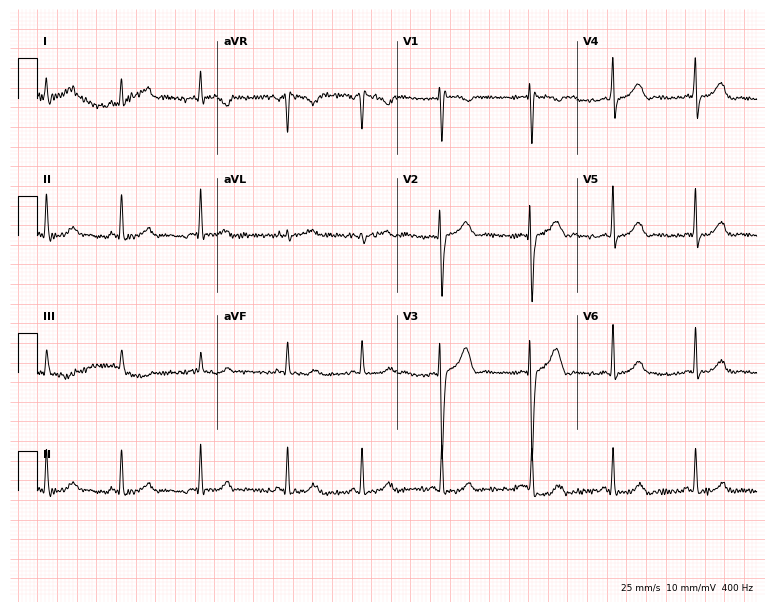
ECG (7.3-second recording at 400 Hz) — a 40-year-old woman. Screened for six findings — first-degree AV block, right bundle branch block, left bundle branch block, sinus bradycardia, atrial fibrillation, sinus tachycardia — none is recorded.